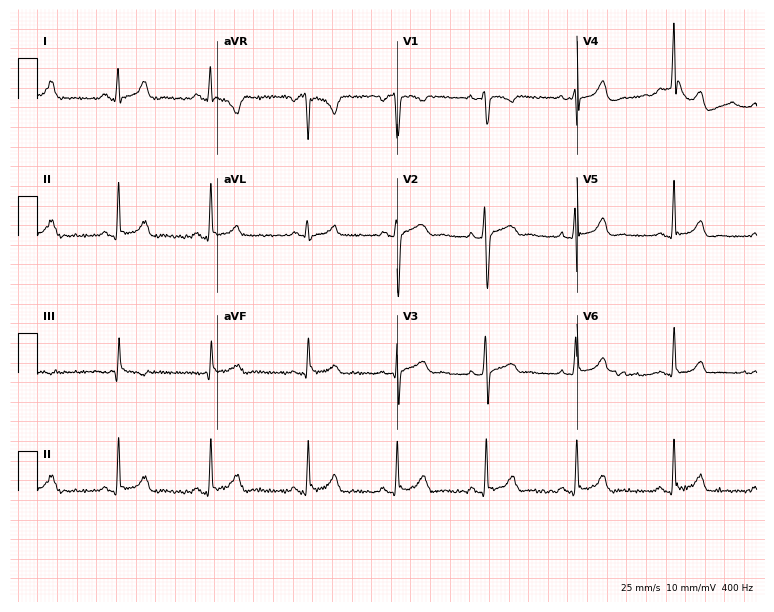
ECG — a 19-year-old female patient. Screened for six findings — first-degree AV block, right bundle branch block, left bundle branch block, sinus bradycardia, atrial fibrillation, sinus tachycardia — none is recorded.